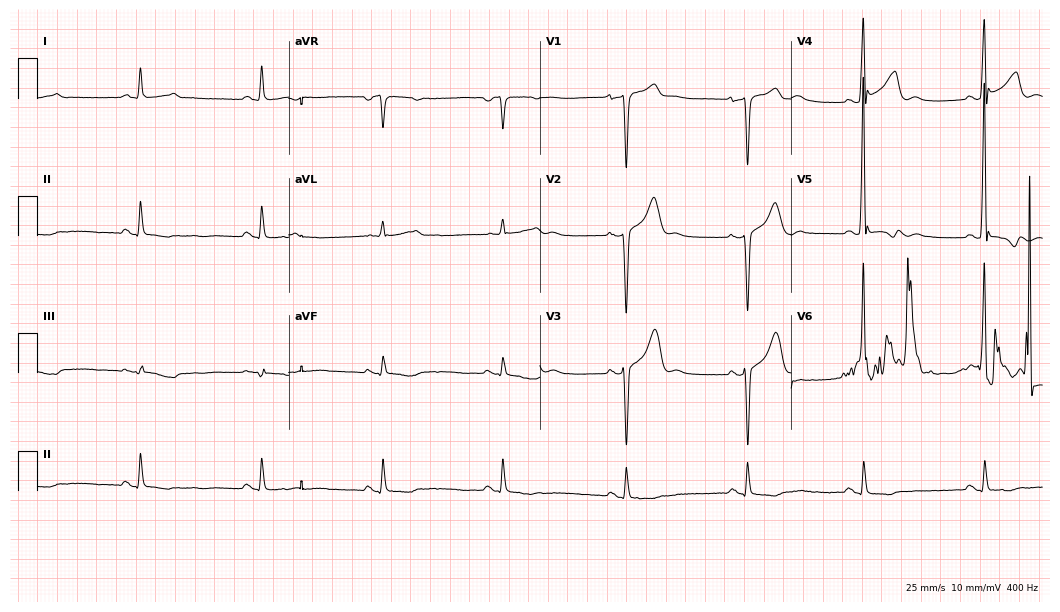
ECG (10.2-second recording at 400 Hz) — a female patient, 52 years old. Screened for six findings — first-degree AV block, right bundle branch block (RBBB), left bundle branch block (LBBB), sinus bradycardia, atrial fibrillation (AF), sinus tachycardia — none is recorded. Findings outside these six are not listed.